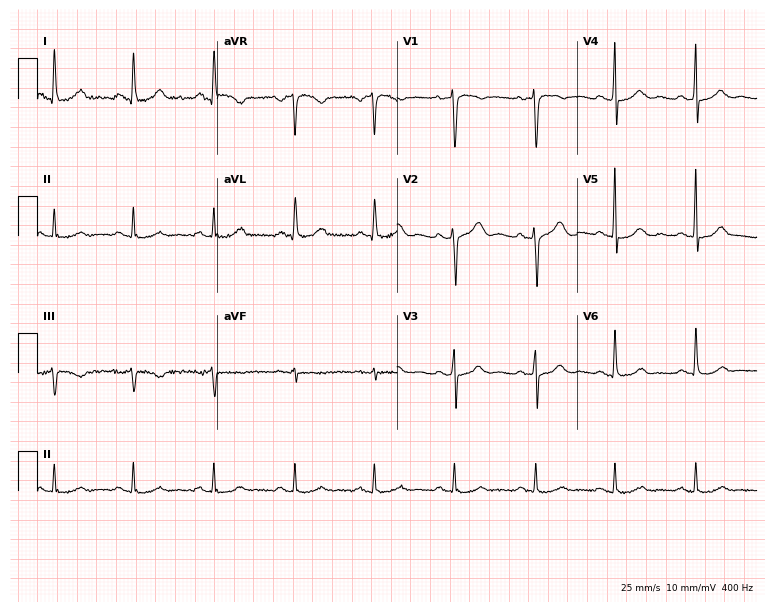
Electrocardiogram, a 67-year-old female patient. Overall reading on record: normal ECG.